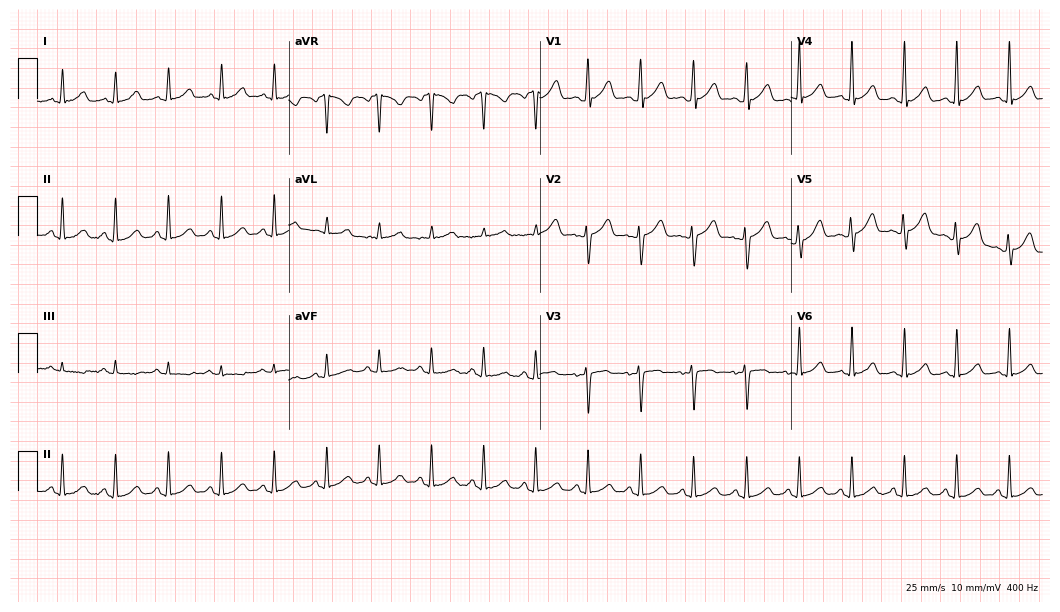
ECG — a female patient, 28 years old. Screened for six findings — first-degree AV block, right bundle branch block (RBBB), left bundle branch block (LBBB), sinus bradycardia, atrial fibrillation (AF), sinus tachycardia — none is recorded.